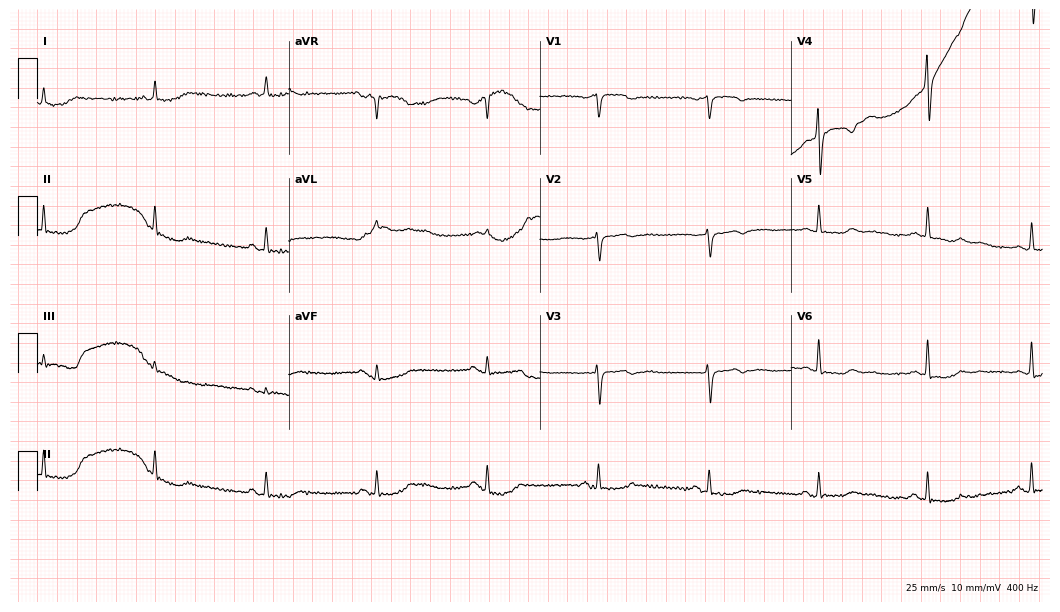
Standard 12-lead ECG recorded from a 72-year-old female (10.2-second recording at 400 Hz). None of these six findings is recorded: first-degree AV block, right bundle branch block, left bundle branch block, sinus bradycardia, atrial fibrillation, sinus tachycardia. Only these six findings were labelled.